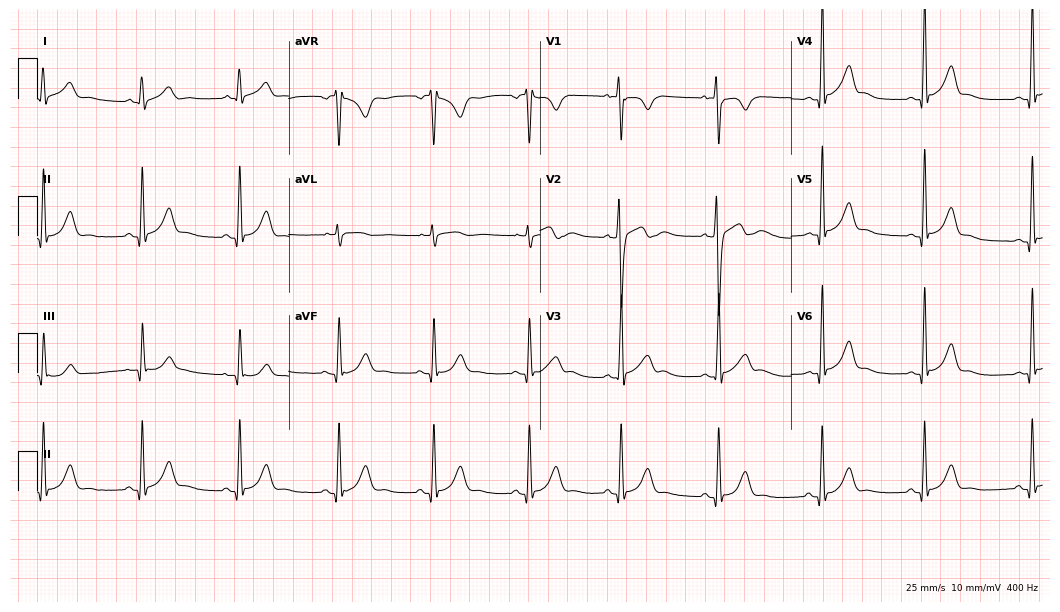
ECG — a 24-year-old male. Screened for six findings — first-degree AV block, right bundle branch block, left bundle branch block, sinus bradycardia, atrial fibrillation, sinus tachycardia — none is recorded.